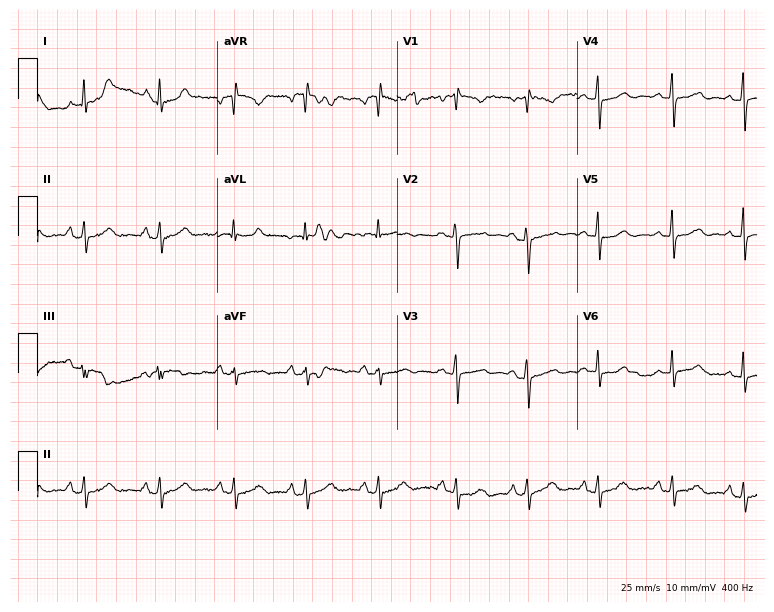
ECG — a 41-year-old female patient. Screened for six findings — first-degree AV block, right bundle branch block, left bundle branch block, sinus bradycardia, atrial fibrillation, sinus tachycardia — none is recorded.